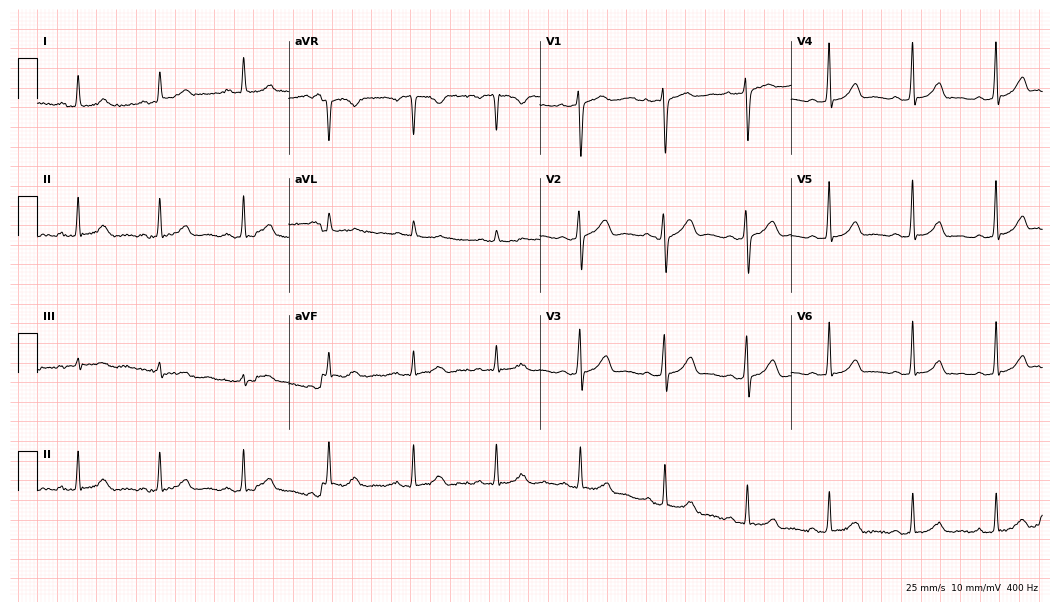
ECG — a 48-year-old female patient. Screened for six findings — first-degree AV block, right bundle branch block, left bundle branch block, sinus bradycardia, atrial fibrillation, sinus tachycardia — none is recorded.